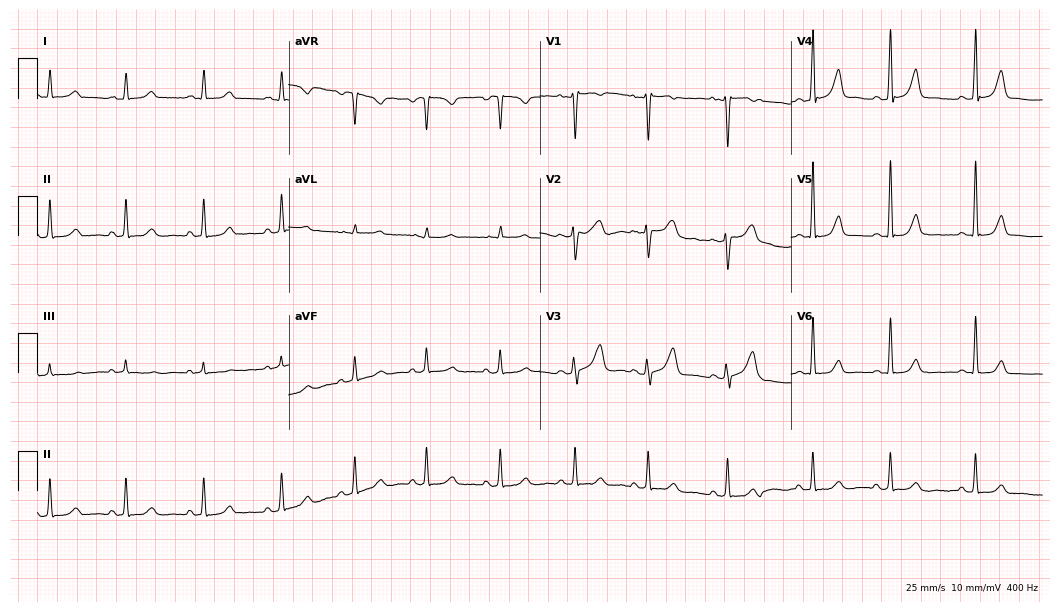
Standard 12-lead ECG recorded from a 33-year-old woman (10.2-second recording at 400 Hz). Read as a normal ECG.